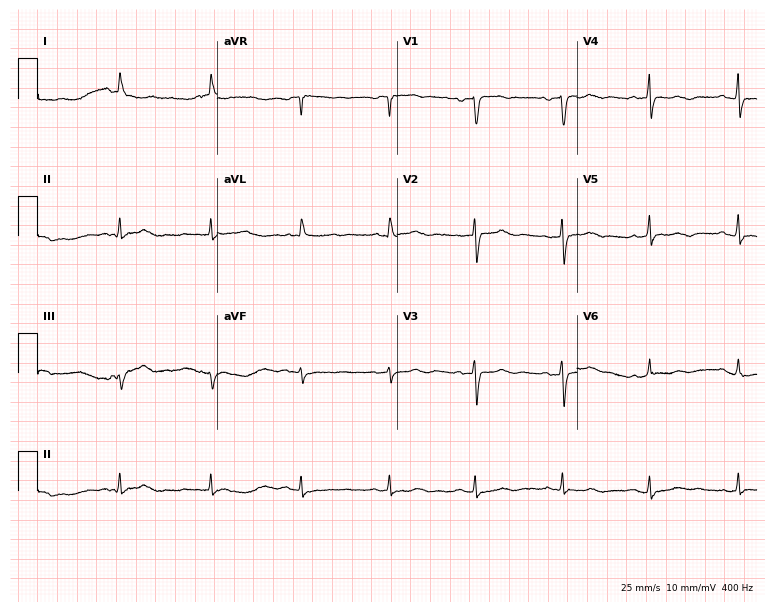
ECG — an 85-year-old woman. Screened for six findings — first-degree AV block, right bundle branch block (RBBB), left bundle branch block (LBBB), sinus bradycardia, atrial fibrillation (AF), sinus tachycardia — none is recorded.